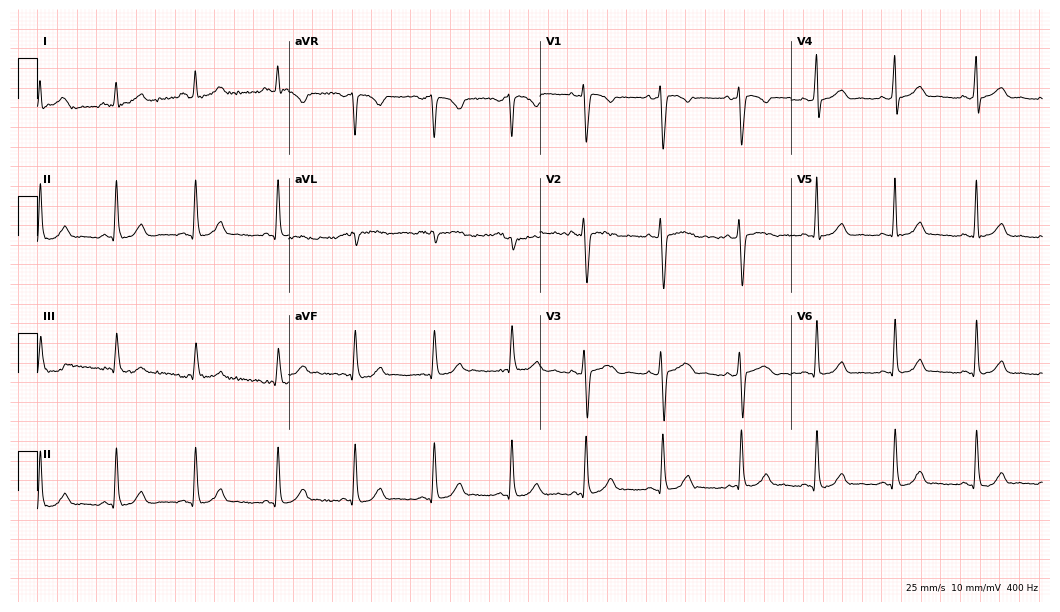
12-lead ECG from a 36-year-old woman (10.2-second recording at 400 Hz). Recorded interpretation: within normal limits.